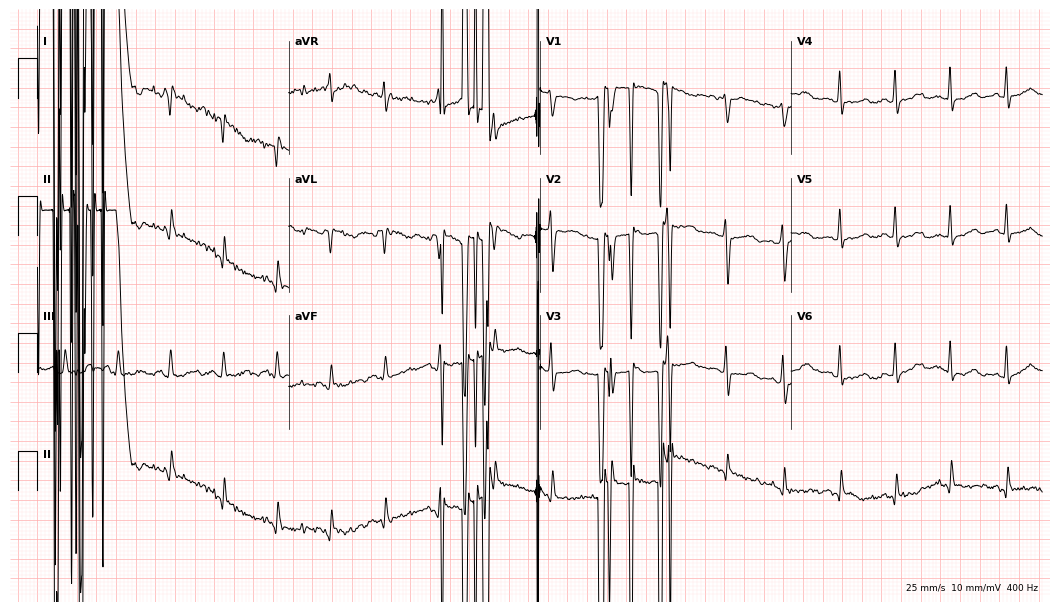
Standard 12-lead ECG recorded from a 38-year-old woman (10.2-second recording at 400 Hz). None of these six findings is recorded: first-degree AV block, right bundle branch block, left bundle branch block, sinus bradycardia, atrial fibrillation, sinus tachycardia. Other findings, if any, are not listed.